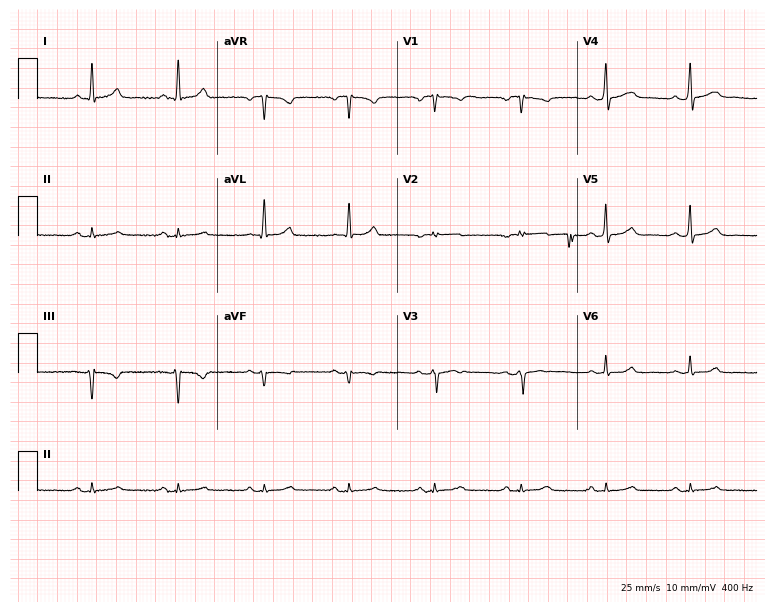
12-lead ECG from a 54-year-old male patient. No first-degree AV block, right bundle branch block, left bundle branch block, sinus bradycardia, atrial fibrillation or sinus tachycardia recorded for this tracing. Only these six findings were labelled.